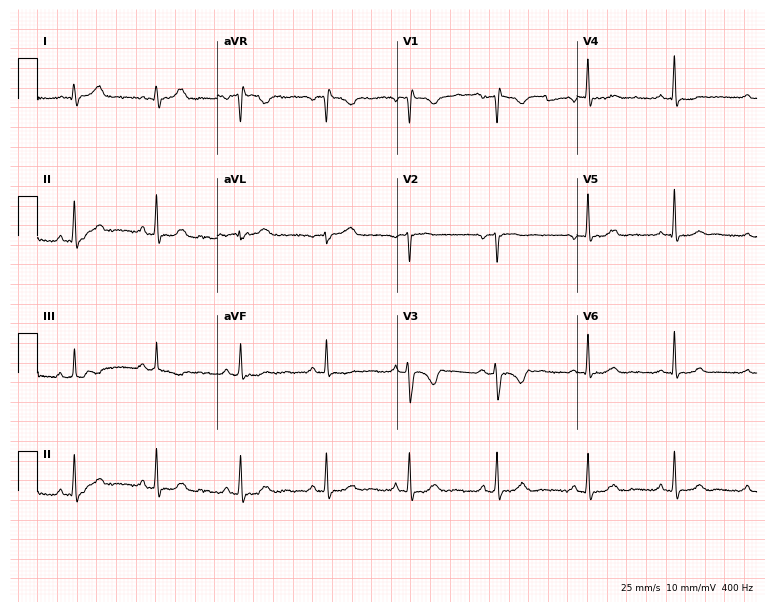
12-lead ECG from a 31-year-old woman (7.3-second recording at 400 Hz). Recorded interpretation: within normal limits.